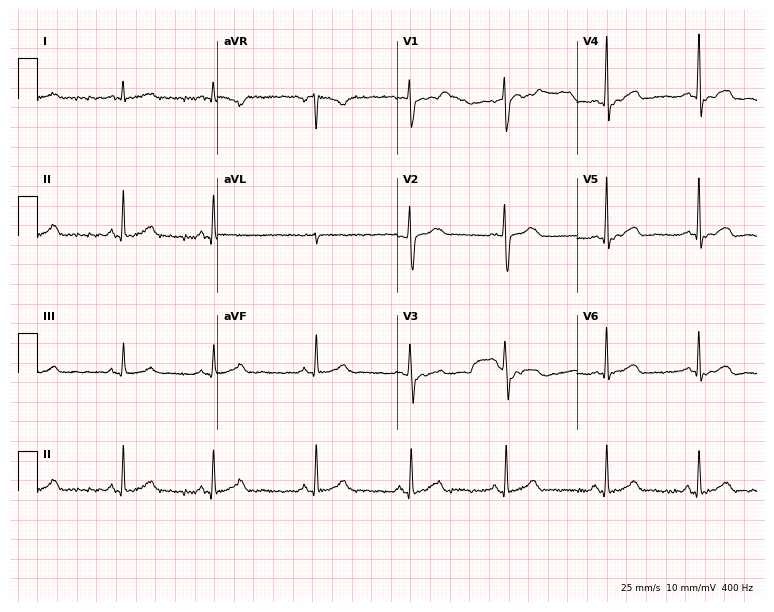
Electrocardiogram (7.3-second recording at 400 Hz), a 40-year-old female patient. Of the six screened findings (first-degree AV block, right bundle branch block, left bundle branch block, sinus bradycardia, atrial fibrillation, sinus tachycardia), none is recorded.